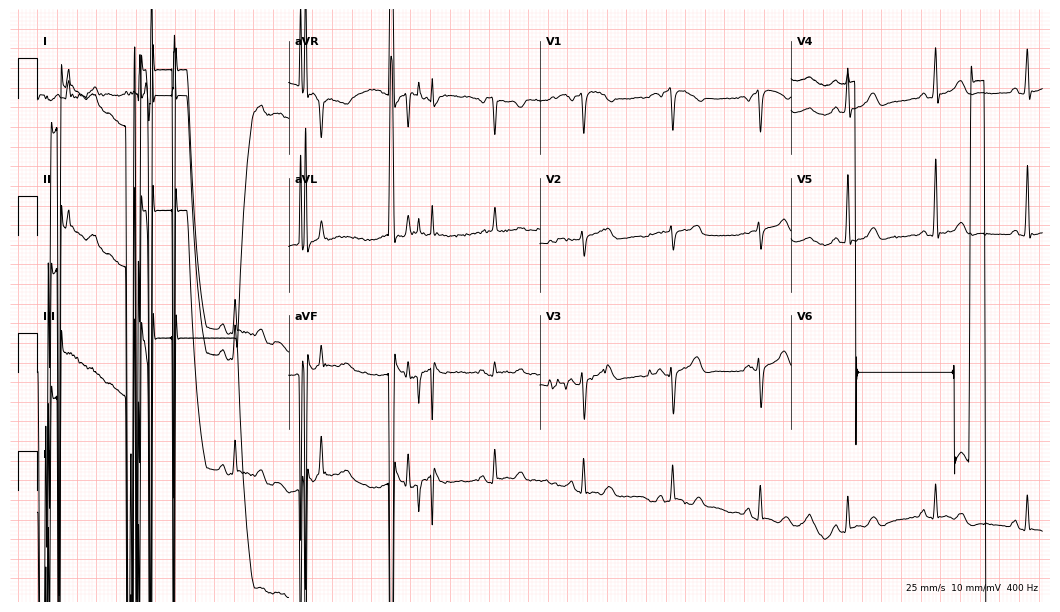
12-lead ECG from a female, 60 years old (10.2-second recording at 400 Hz). No first-degree AV block, right bundle branch block, left bundle branch block, sinus bradycardia, atrial fibrillation or sinus tachycardia recorded for this tracing. Only these six findings were labelled.